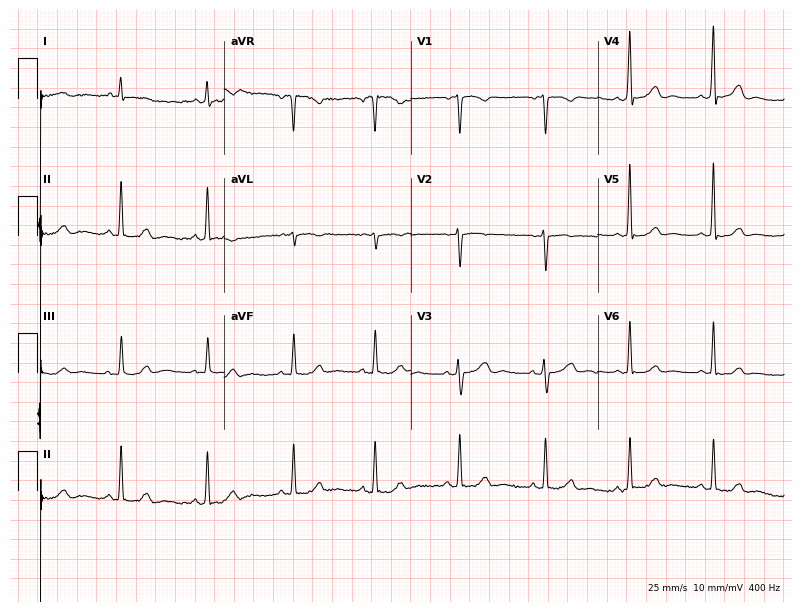
Resting 12-lead electrocardiogram (7.6-second recording at 400 Hz). Patient: a 29-year-old woman. None of these six findings is recorded: first-degree AV block, right bundle branch block, left bundle branch block, sinus bradycardia, atrial fibrillation, sinus tachycardia.